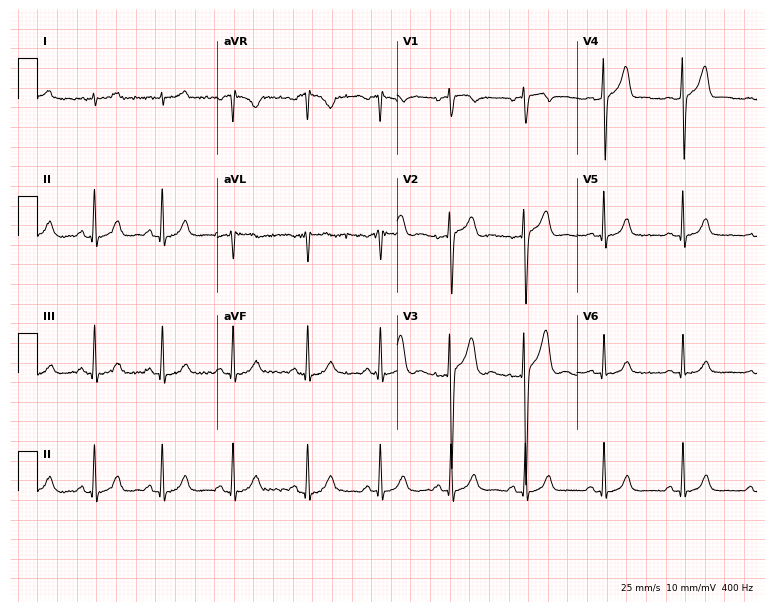
Standard 12-lead ECG recorded from a male patient, 33 years old (7.3-second recording at 400 Hz). Read as a normal ECG.